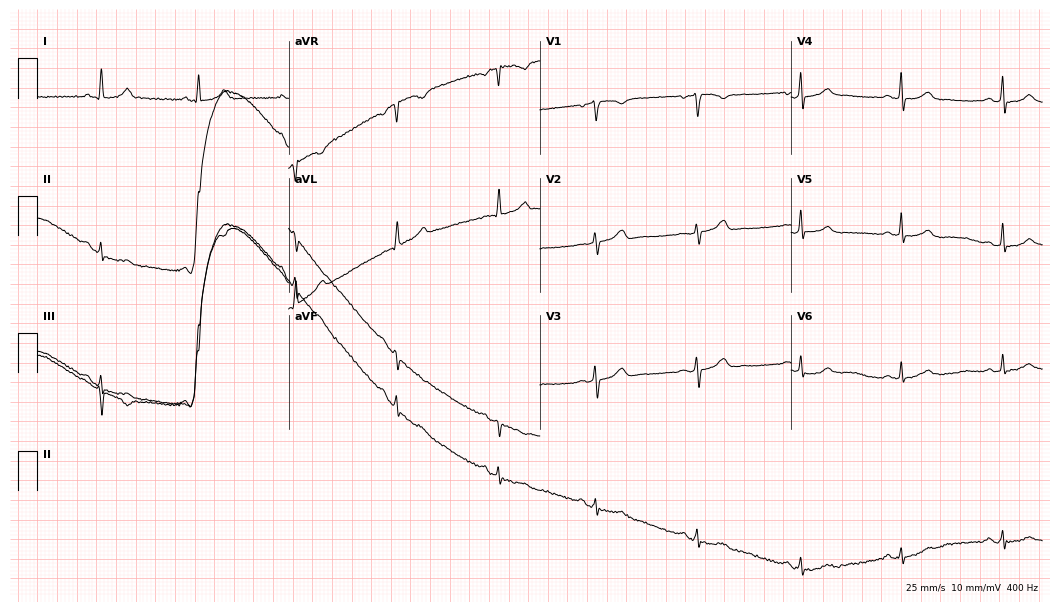
12-lead ECG (10.2-second recording at 400 Hz) from a female, 46 years old. Screened for six findings — first-degree AV block, right bundle branch block, left bundle branch block, sinus bradycardia, atrial fibrillation, sinus tachycardia — none is recorded. Only these six findings were labelled.